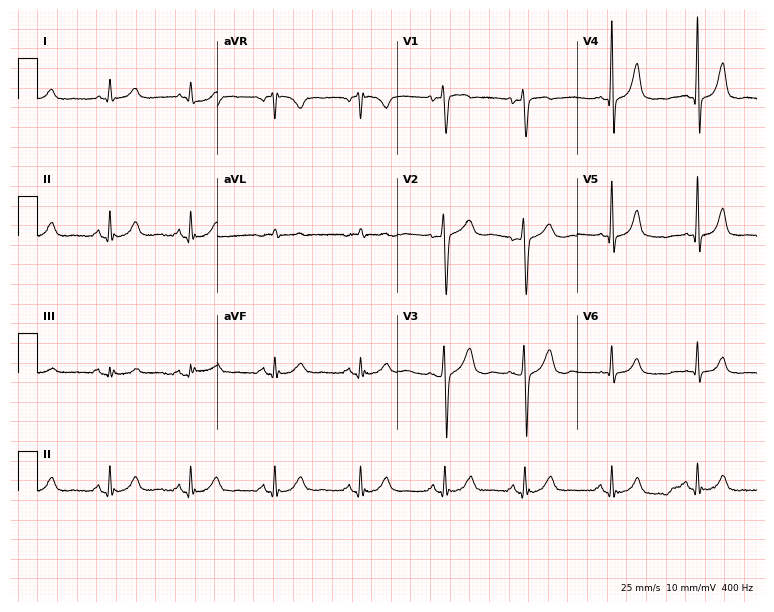
Standard 12-lead ECG recorded from a male patient, 84 years old. Read as a normal ECG.